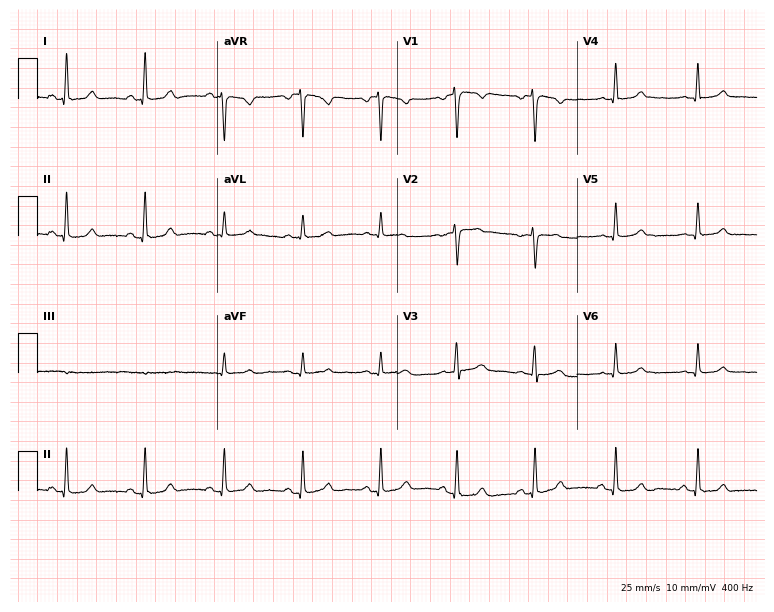
Resting 12-lead electrocardiogram (7.3-second recording at 400 Hz). Patient: a 45-year-old female. Read as a normal ECG.